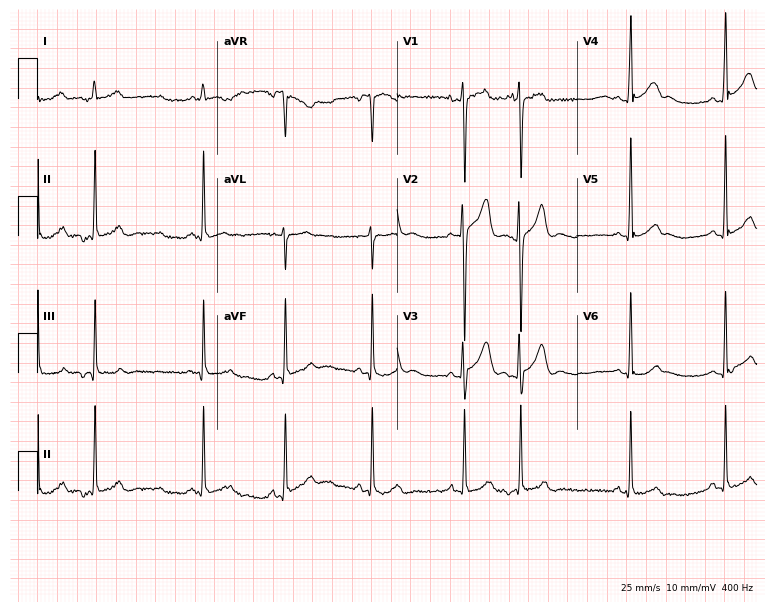
Resting 12-lead electrocardiogram (7.3-second recording at 400 Hz). Patient: a male, 21 years old. None of these six findings is recorded: first-degree AV block, right bundle branch block, left bundle branch block, sinus bradycardia, atrial fibrillation, sinus tachycardia.